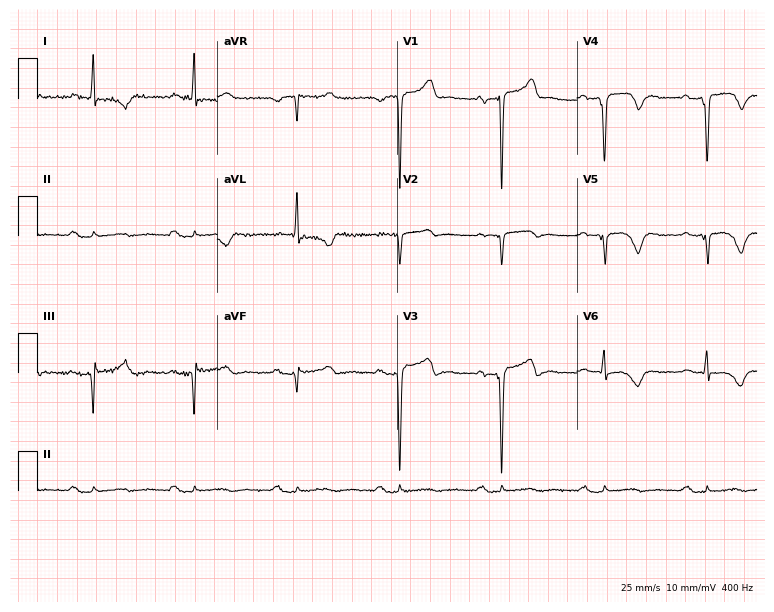
Standard 12-lead ECG recorded from a male, 63 years old (7.3-second recording at 400 Hz). None of these six findings is recorded: first-degree AV block, right bundle branch block (RBBB), left bundle branch block (LBBB), sinus bradycardia, atrial fibrillation (AF), sinus tachycardia.